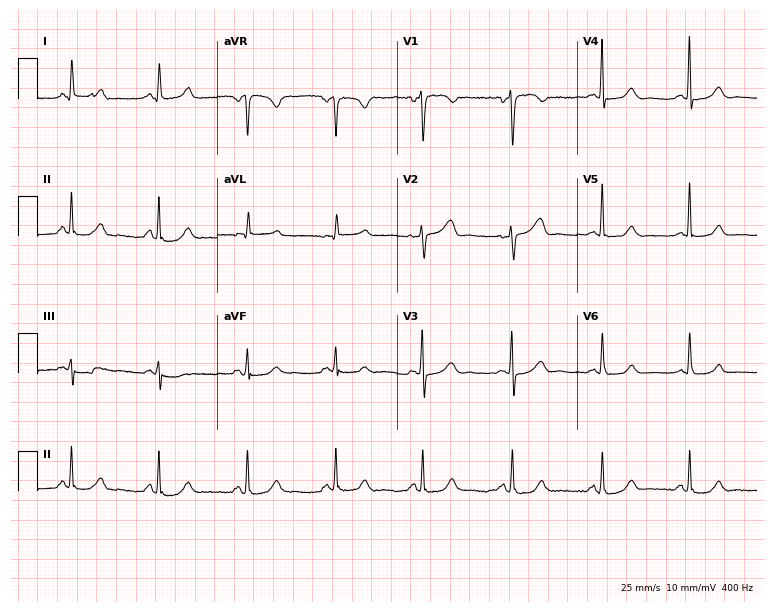
ECG (7.3-second recording at 400 Hz) — a female patient, 58 years old. Labelled as a normal ECG.